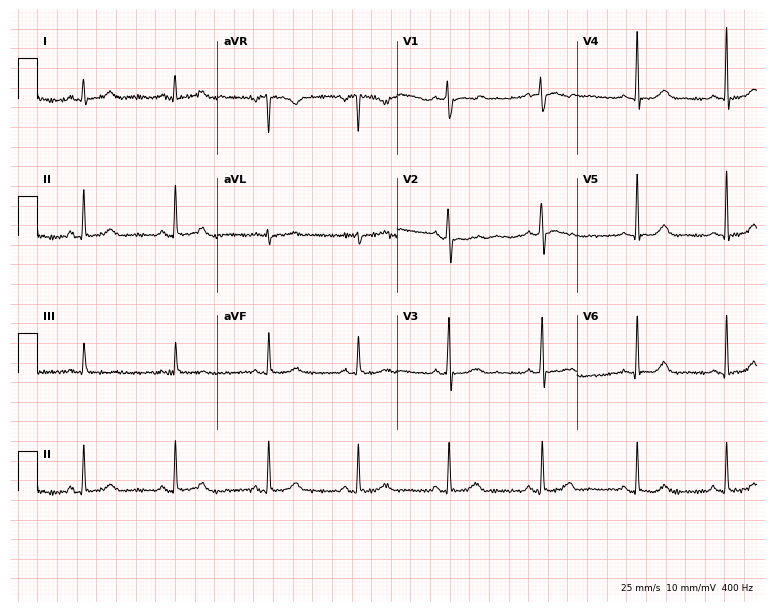
Standard 12-lead ECG recorded from a 41-year-old woman (7.3-second recording at 400 Hz). None of these six findings is recorded: first-degree AV block, right bundle branch block (RBBB), left bundle branch block (LBBB), sinus bradycardia, atrial fibrillation (AF), sinus tachycardia. Other findings, if any, are not listed.